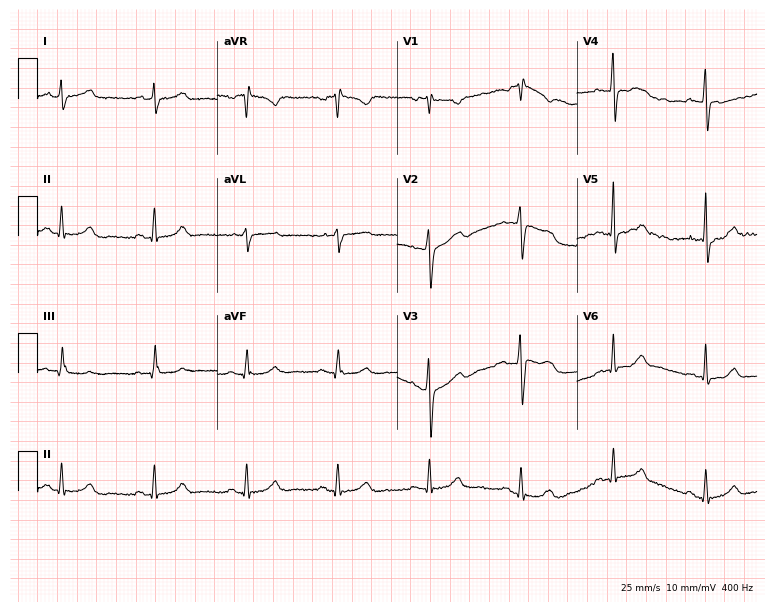
Standard 12-lead ECG recorded from a female patient, 58 years old (7.3-second recording at 400 Hz). Read as a normal ECG.